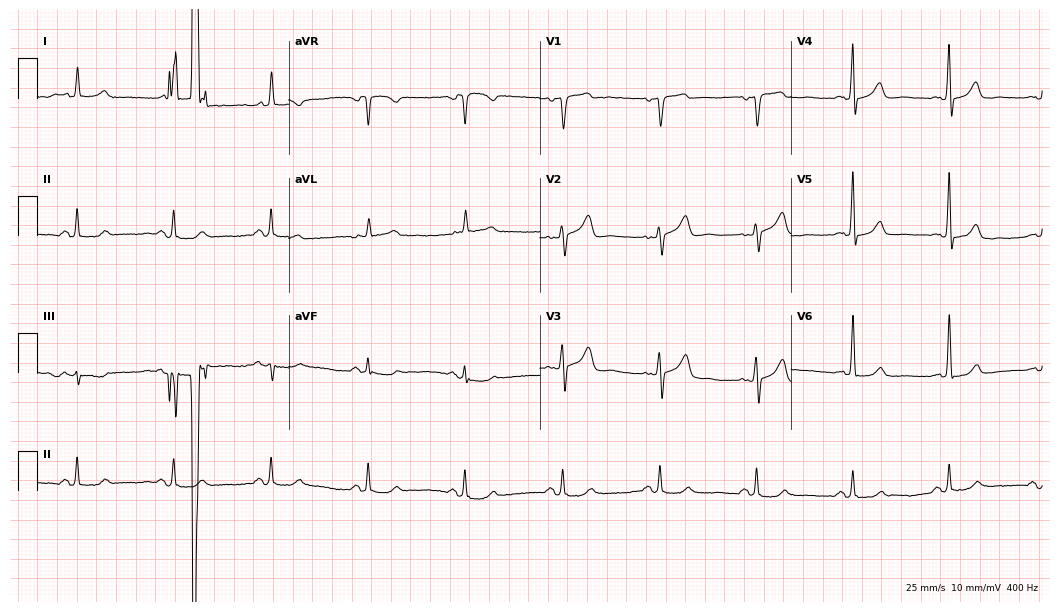
Standard 12-lead ECG recorded from an 84-year-old man (10.2-second recording at 400 Hz). None of these six findings is recorded: first-degree AV block, right bundle branch block (RBBB), left bundle branch block (LBBB), sinus bradycardia, atrial fibrillation (AF), sinus tachycardia. Other findings, if any, are not listed.